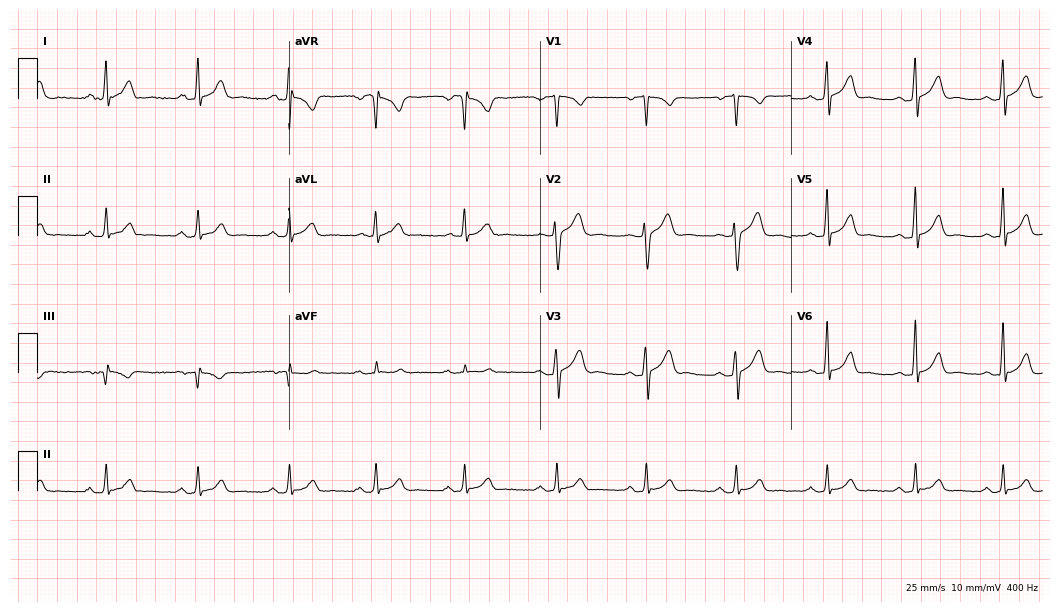
Resting 12-lead electrocardiogram (10.2-second recording at 400 Hz). Patient: a man, 27 years old. Read as a normal ECG.